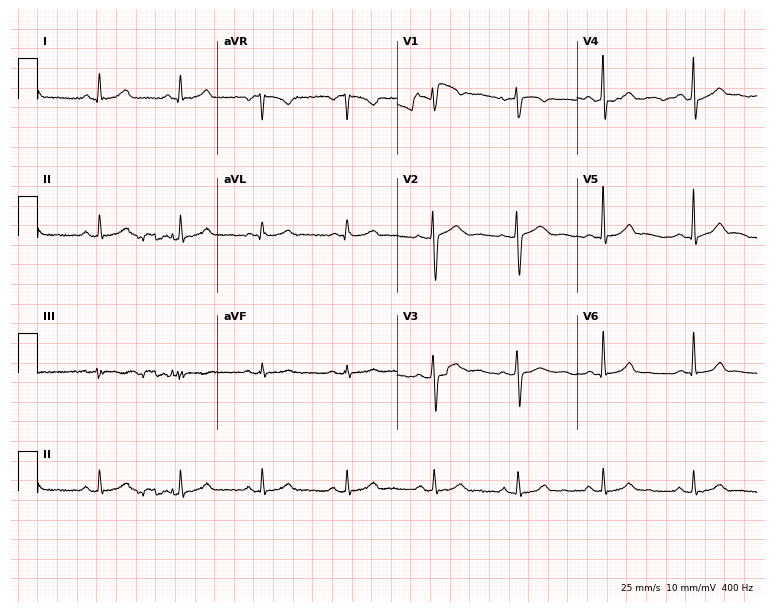
Electrocardiogram (7.3-second recording at 400 Hz), a 32-year-old female. Overall reading on record: normal ECG.